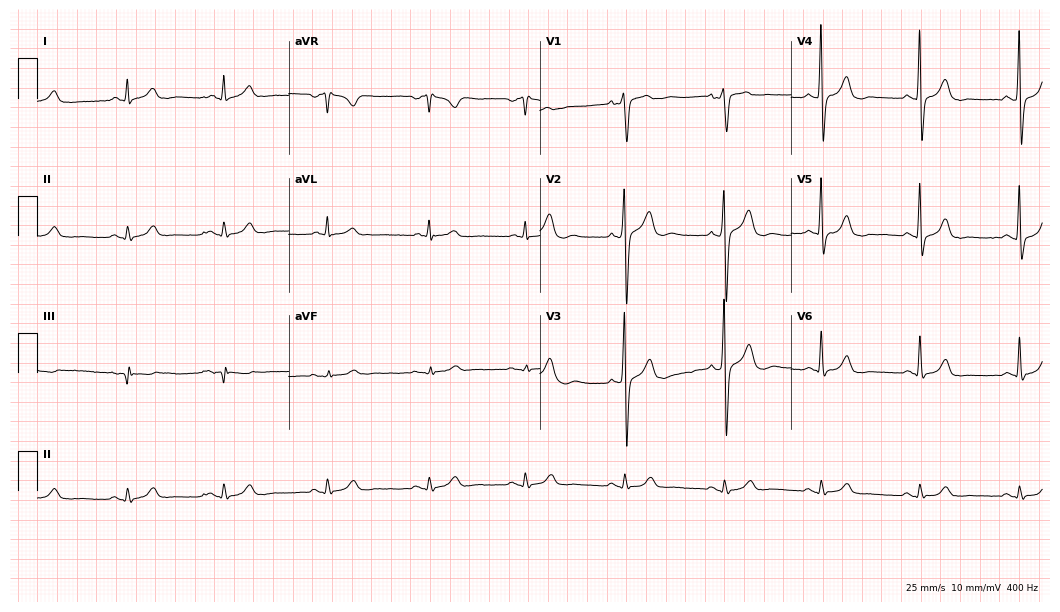
Standard 12-lead ECG recorded from a male patient, 57 years old. None of these six findings is recorded: first-degree AV block, right bundle branch block, left bundle branch block, sinus bradycardia, atrial fibrillation, sinus tachycardia.